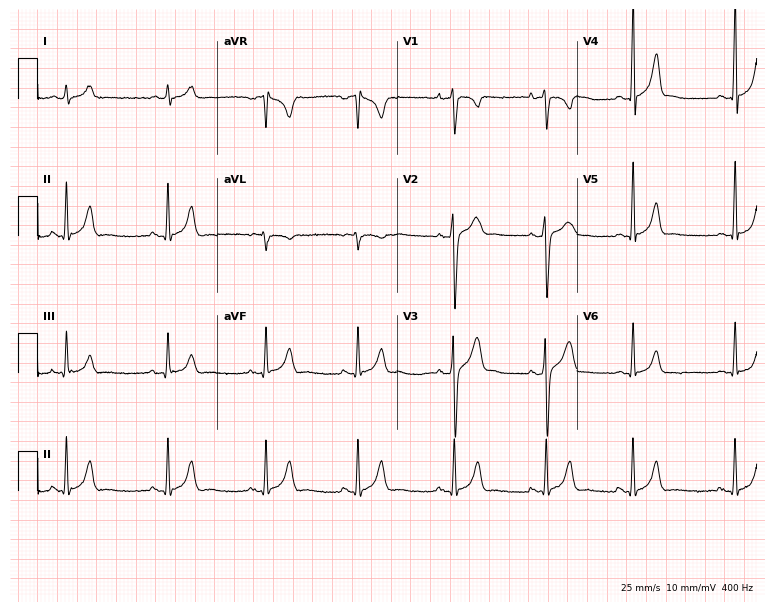
ECG — a 21-year-old man. Screened for six findings — first-degree AV block, right bundle branch block, left bundle branch block, sinus bradycardia, atrial fibrillation, sinus tachycardia — none is recorded. Findings outside these six are not listed.